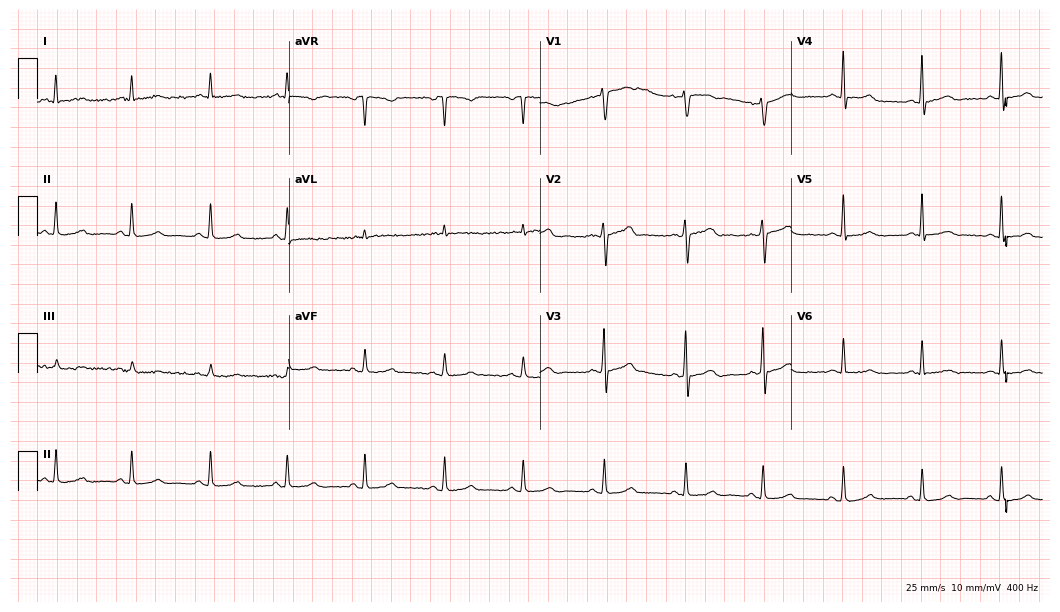
12-lead ECG (10.2-second recording at 400 Hz) from a female patient, 53 years old. Screened for six findings — first-degree AV block, right bundle branch block, left bundle branch block, sinus bradycardia, atrial fibrillation, sinus tachycardia — none is recorded. Findings outside these six are not listed.